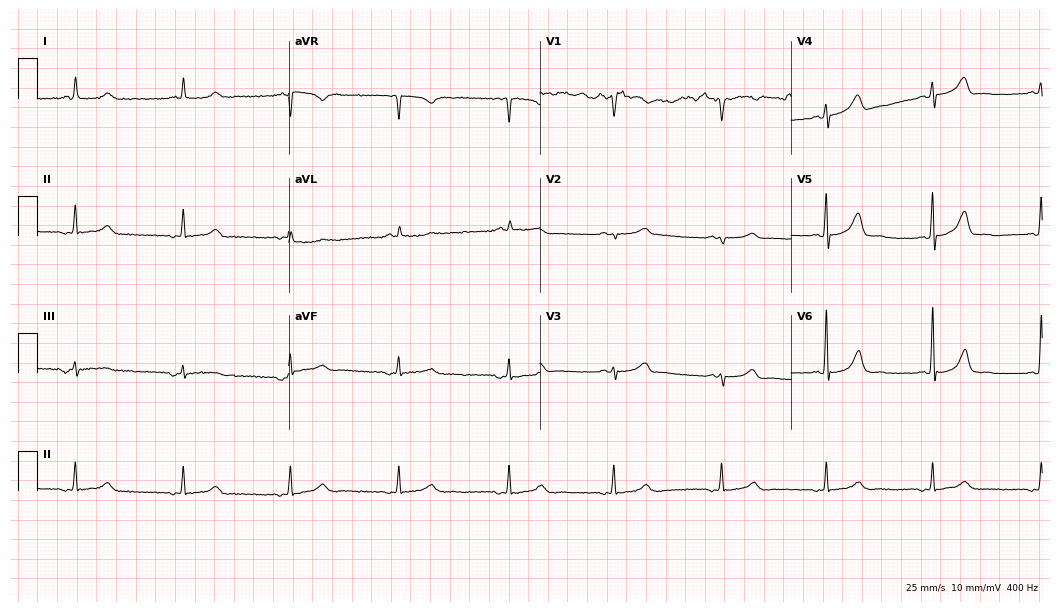
12-lead ECG from a 74-year-old man. Screened for six findings — first-degree AV block, right bundle branch block, left bundle branch block, sinus bradycardia, atrial fibrillation, sinus tachycardia — none is recorded. Findings outside these six are not listed.